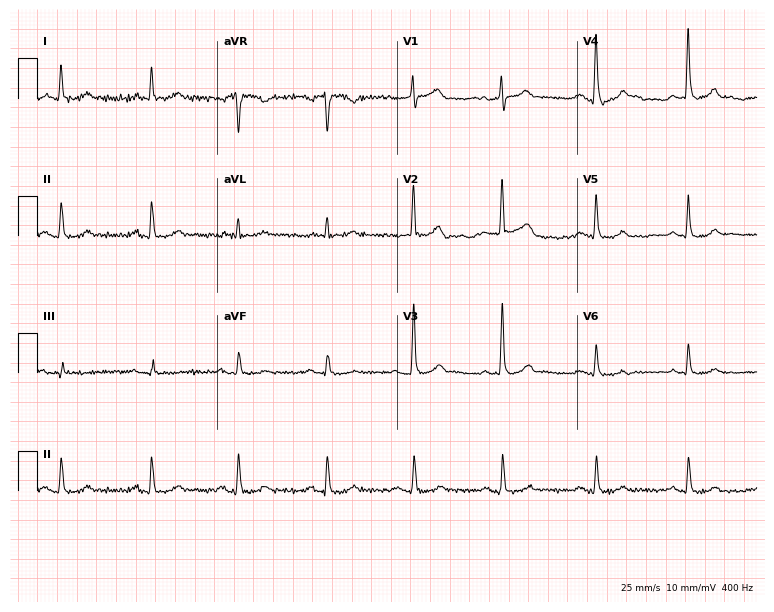
12-lead ECG (7.3-second recording at 400 Hz) from an 84-year-old male patient. Screened for six findings — first-degree AV block, right bundle branch block (RBBB), left bundle branch block (LBBB), sinus bradycardia, atrial fibrillation (AF), sinus tachycardia — none is recorded.